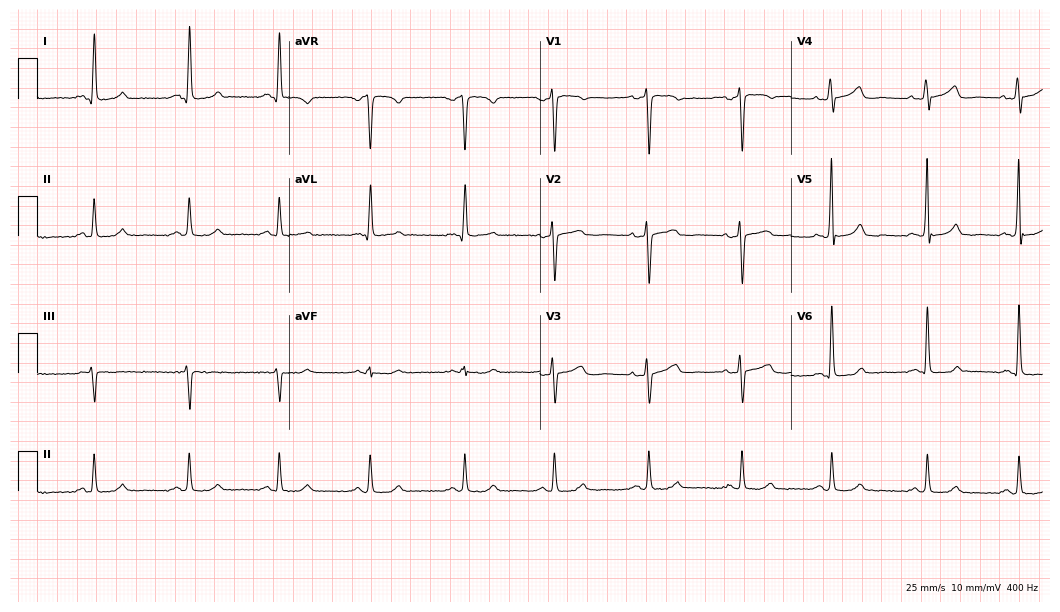
12-lead ECG (10.2-second recording at 400 Hz) from a female, 70 years old. Labelled as a normal ECG.